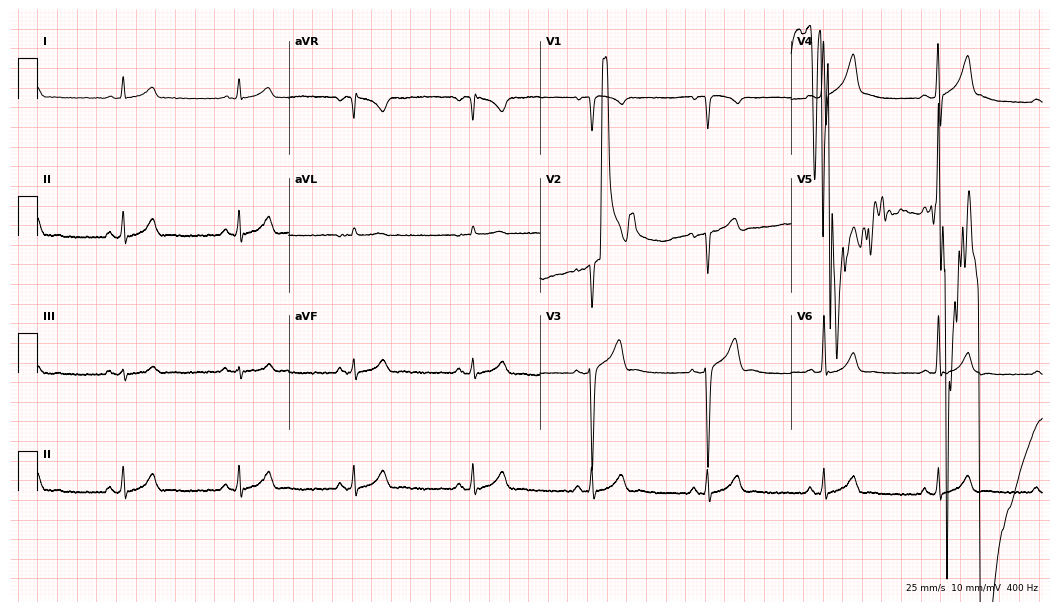
Resting 12-lead electrocardiogram (10.2-second recording at 400 Hz). Patient: a 50-year-old man. None of these six findings is recorded: first-degree AV block, right bundle branch block, left bundle branch block, sinus bradycardia, atrial fibrillation, sinus tachycardia. Other findings, if any, are not listed.